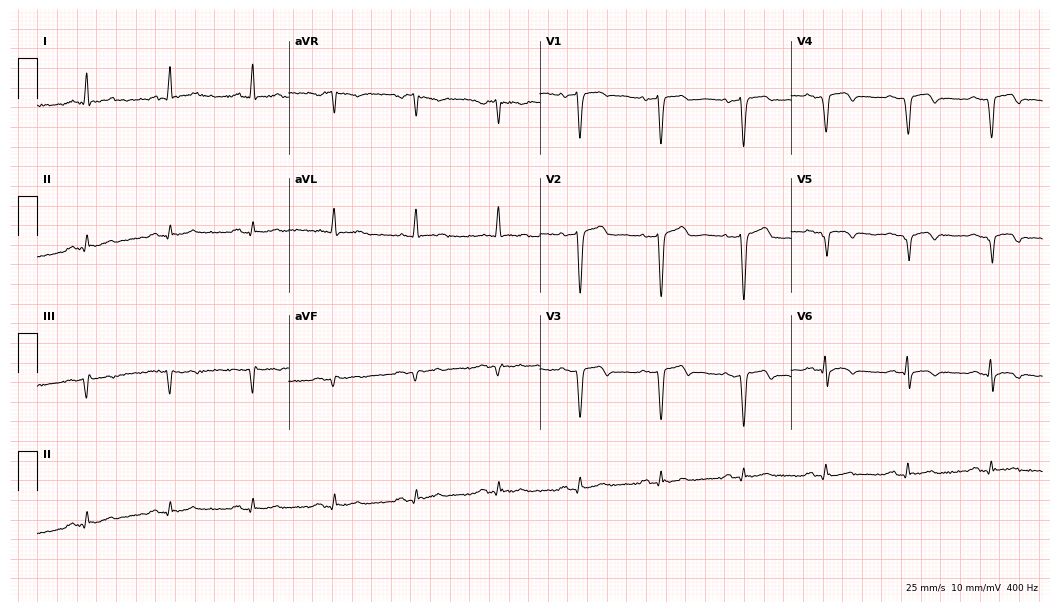
Resting 12-lead electrocardiogram (10.2-second recording at 400 Hz). Patient: a 72-year-old male. None of these six findings is recorded: first-degree AV block, right bundle branch block, left bundle branch block, sinus bradycardia, atrial fibrillation, sinus tachycardia. Only these six findings were labelled.